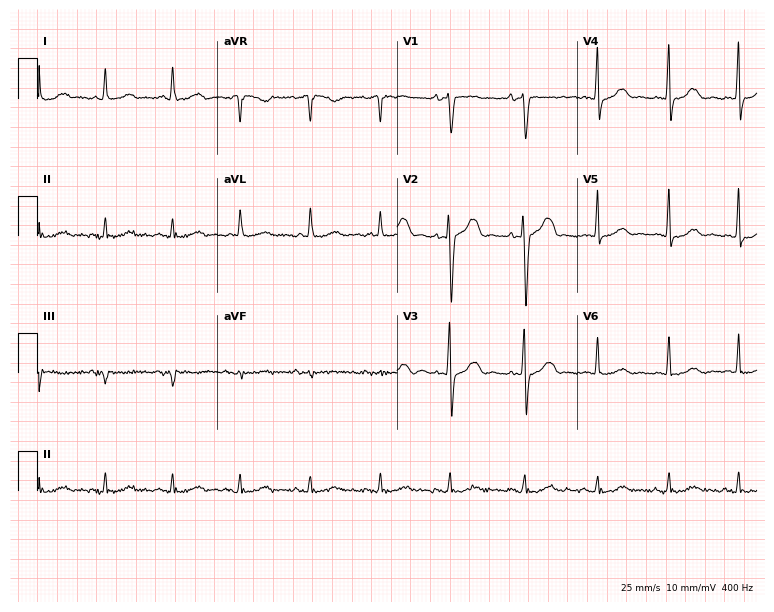
Resting 12-lead electrocardiogram (7.3-second recording at 400 Hz). Patient: a female, 77 years old. Read as a normal ECG.